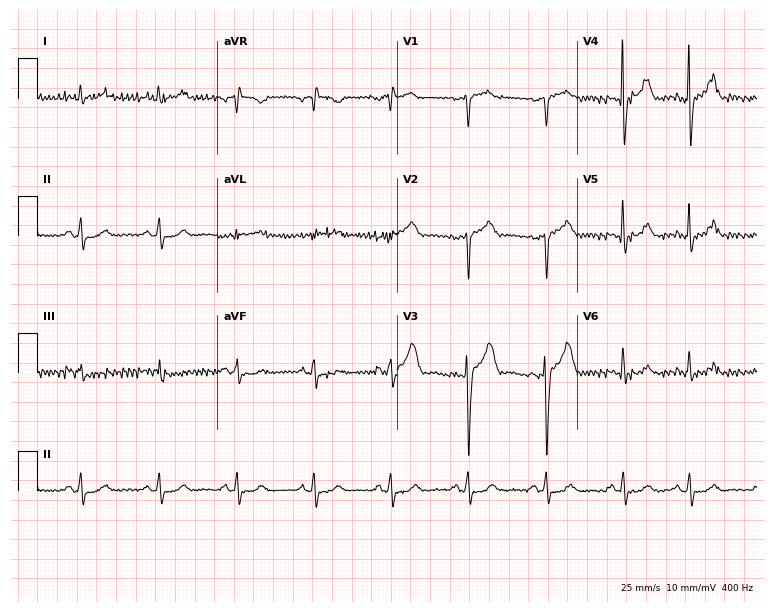
ECG (7.3-second recording at 400 Hz) — a 68-year-old male patient. Screened for six findings — first-degree AV block, right bundle branch block, left bundle branch block, sinus bradycardia, atrial fibrillation, sinus tachycardia — none is recorded.